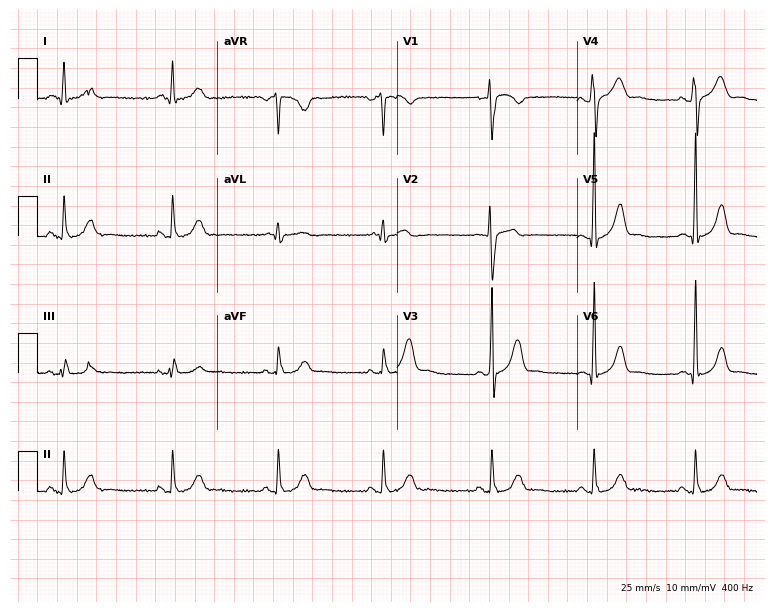
Electrocardiogram, a male patient, 25 years old. Overall reading on record: normal ECG.